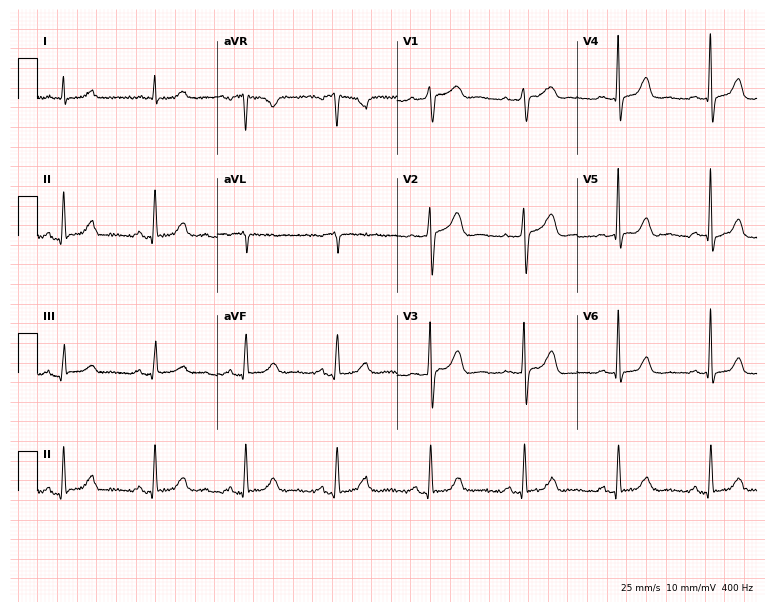
12-lead ECG (7.3-second recording at 400 Hz) from a 72-year-old female patient. Labelled as a normal ECG.